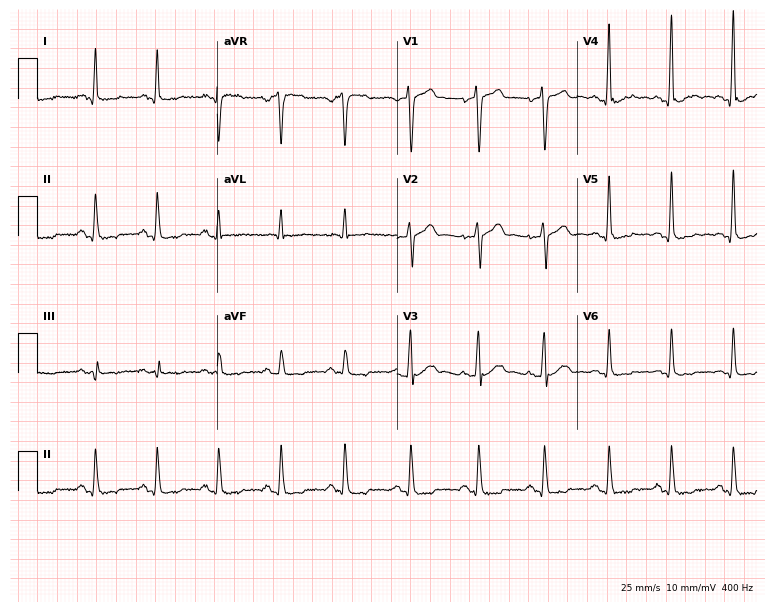
Electrocardiogram (7.3-second recording at 400 Hz), a 33-year-old male. Of the six screened findings (first-degree AV block, right bundle branch block, left bundle branch block, sinus bradycardia, atrial fibrillation, sinus tachycardia), none is recorded. Other findings, if any, are not listed.